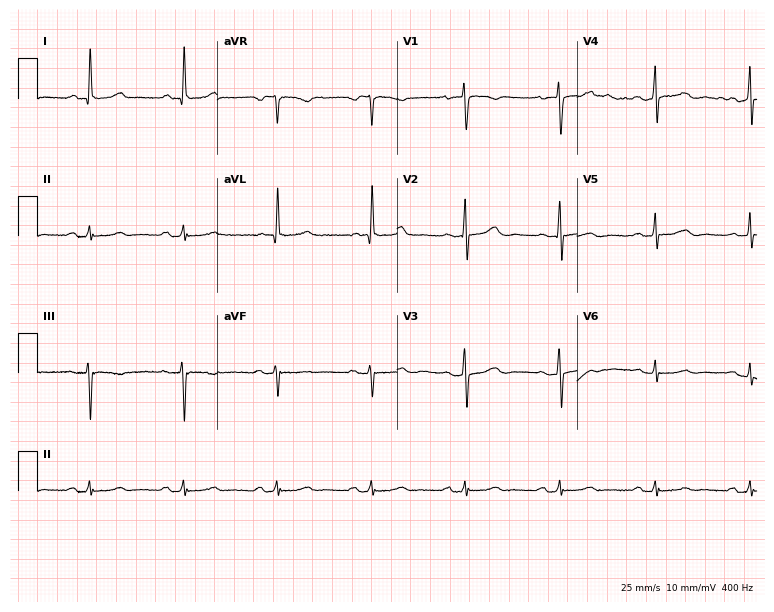
Resting 12-lead electrocardiogram. Patient: a 64-year-old female. None of these six findings is recorded: first-degree AV block, right bundle branch block, left bundle branch block, sinus bradycardia, atrial fibrillation, sinus tachycardia. Only these six findings were labelled.